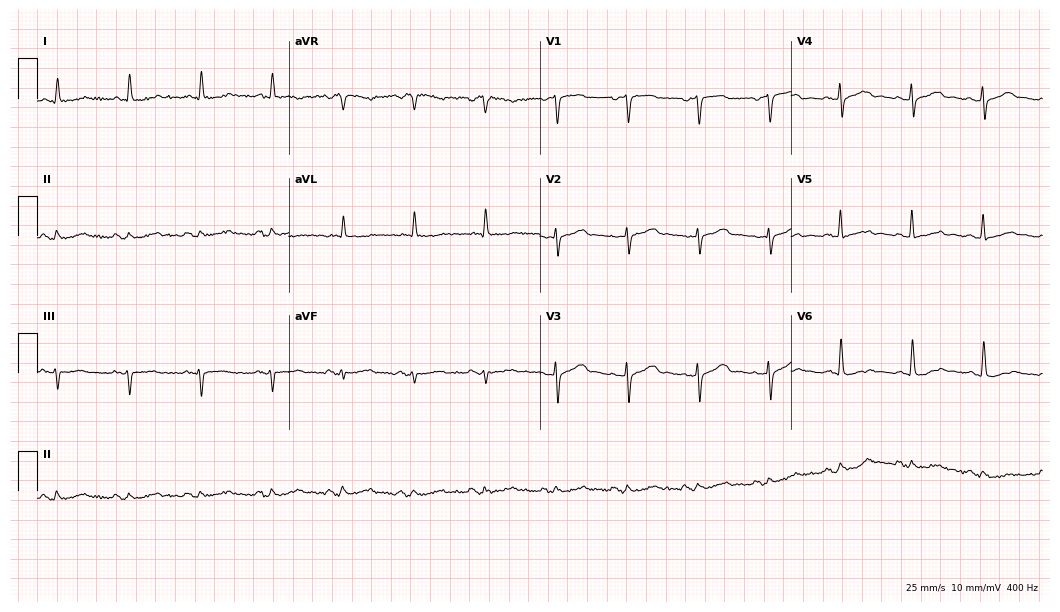
Electrocardiogram, a female patient, 81 years old. Overall reading on record: normal ECG.